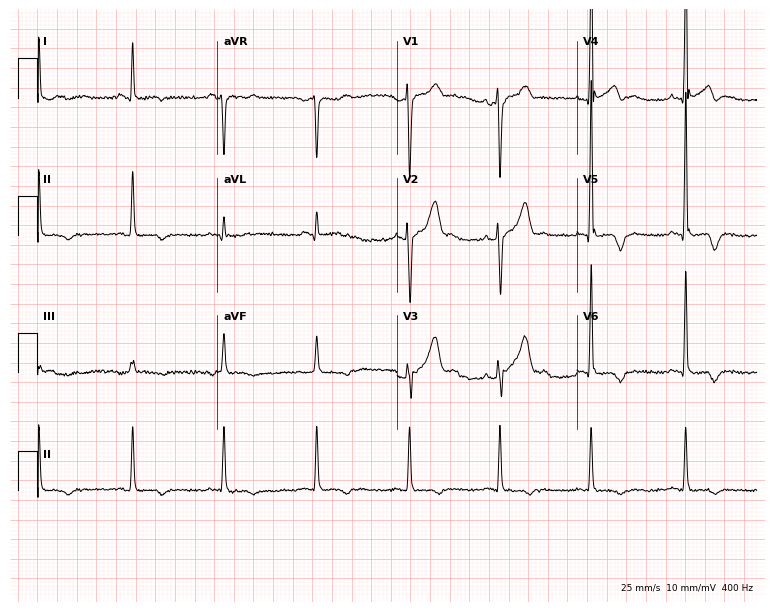
Electrocardiogram, a 45-year-old male patient. Of the six screened findings (first-degree AV block, right bundle branch block (RBBB), left bundle branch block (LBBB), sinus bradycardia, atrial fibrillation (AF), sinus tachycardia), none is recorded. Only these six findings were labelled.